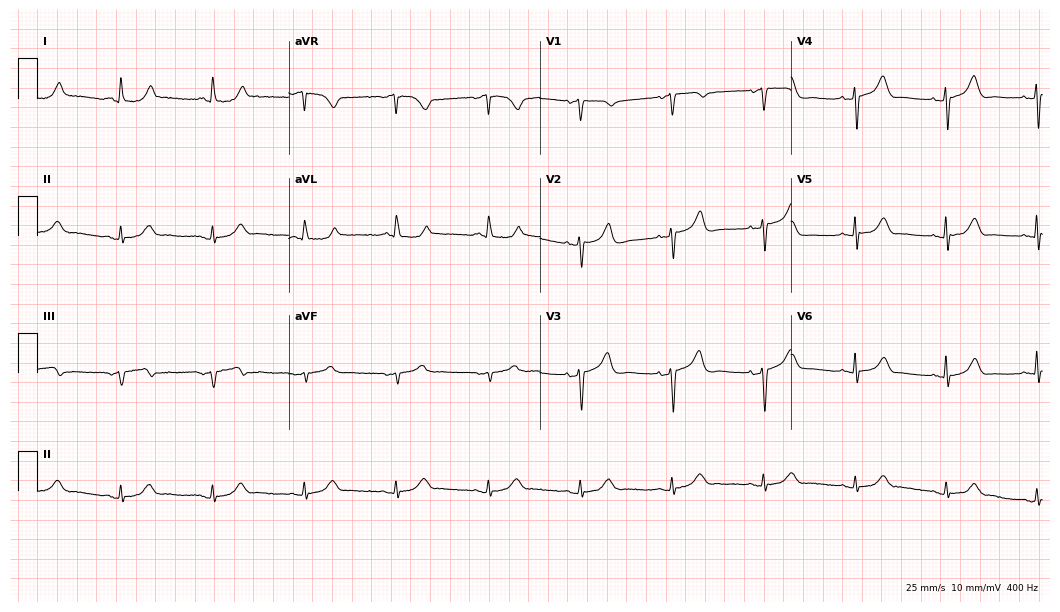
12-lead ECG (10.2-second recording at 400 Hz) from a 76-year-old woman. Screened for six findings — first-degree AV block, right bundle branch block, left bundle branch block, sinus bradycardia, atrial fibrillation, sinus tachycardia — none is recorded.